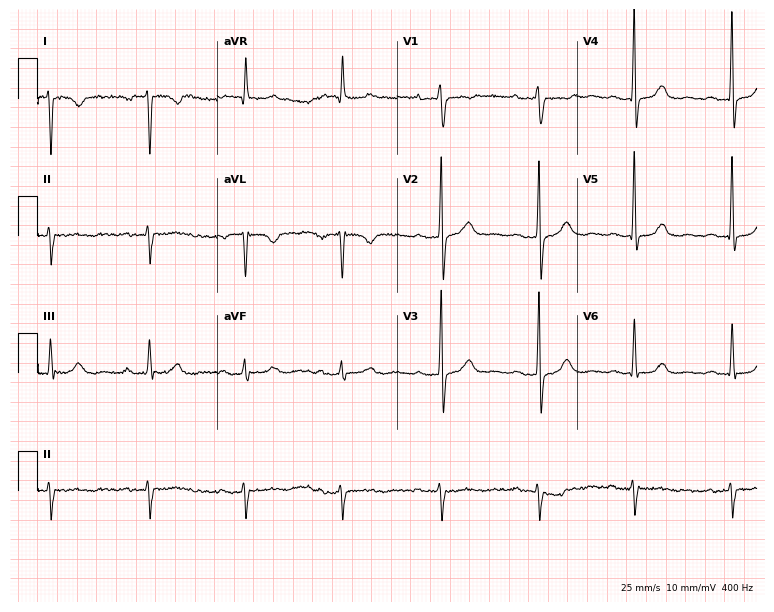
ECG — a woman, 68 years old. Screened for six findings — first-degree AV block, right bundle branch block, left bundle branch block, sinus bradycardia, atrial fibrillation, sinus tachycardia — none is recorded. Other findings, if any, are not listed.